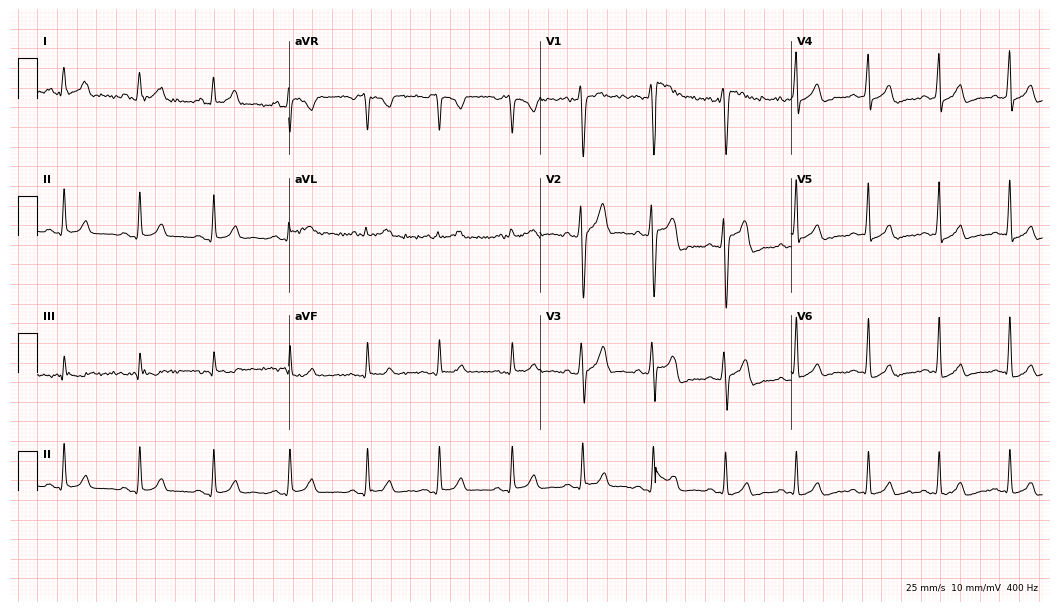
Resting 12-lead electrocardiogram (10.2-second recording at 400 Hz). Patient: a male, 19 years old. Read as a normal ECG.